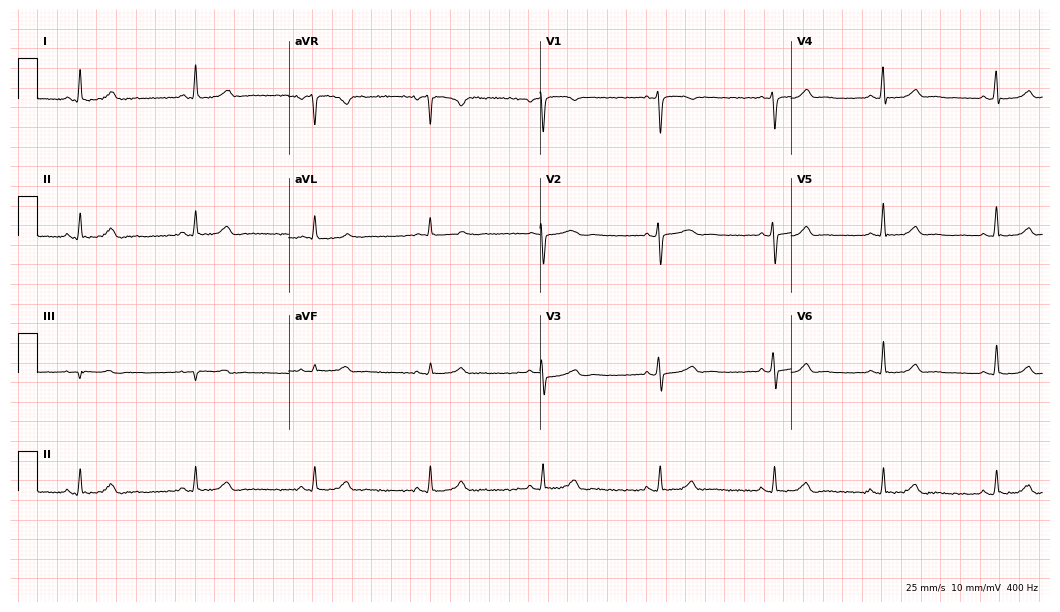
12-lead ECG from a 38-year-old woman. Screened for six findings — first-degree AV block, right bundle branch block (RBBB), left bundle branch block (LBBB), sinus bradycardia, atrial fibrillation (AF), sinus tachycardia — none is recorded.